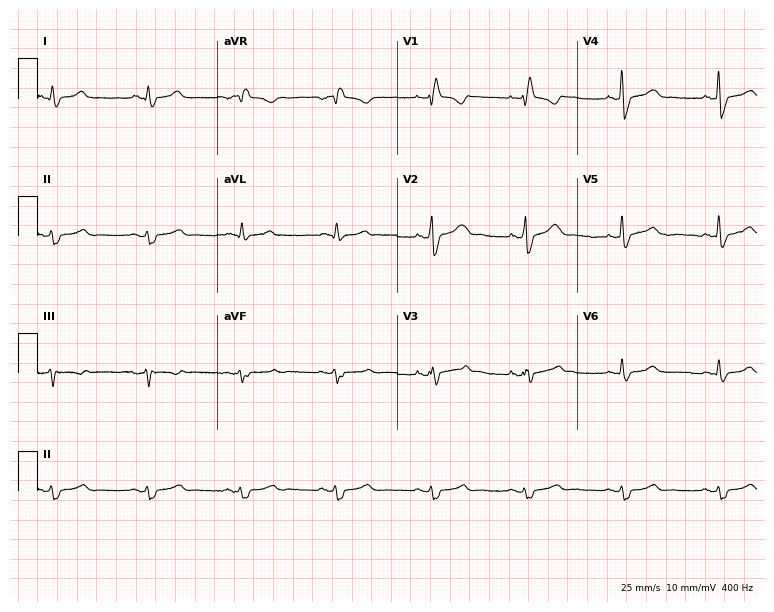
ECG — a female patient, 51 years old. Findings include right bundle branch block.